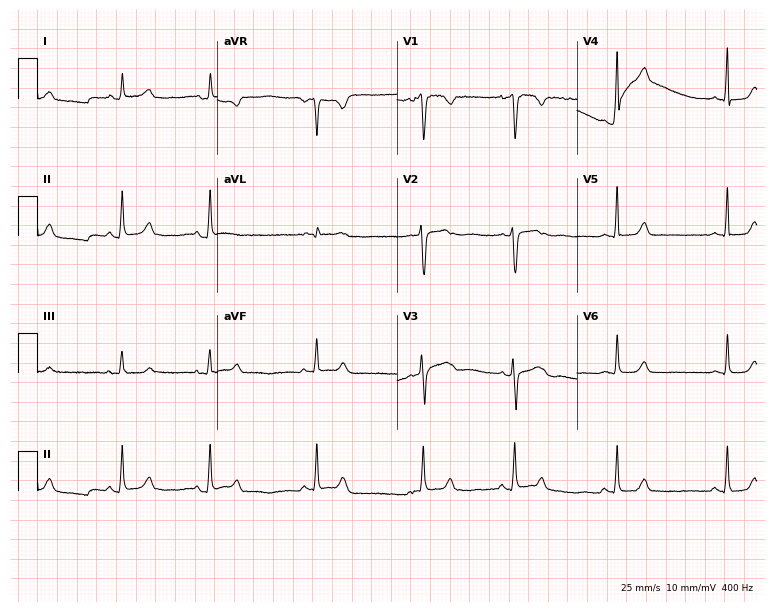
Electrocardiogram (7.3-second recording at 400 Hz), a 29-year-old woman. Of the six screened findings (first-degree AV block, right bundle branch block, left bundle branch block, sinus bradycardia, atrial fibrillation, sinus tachycardia), none is recorded.